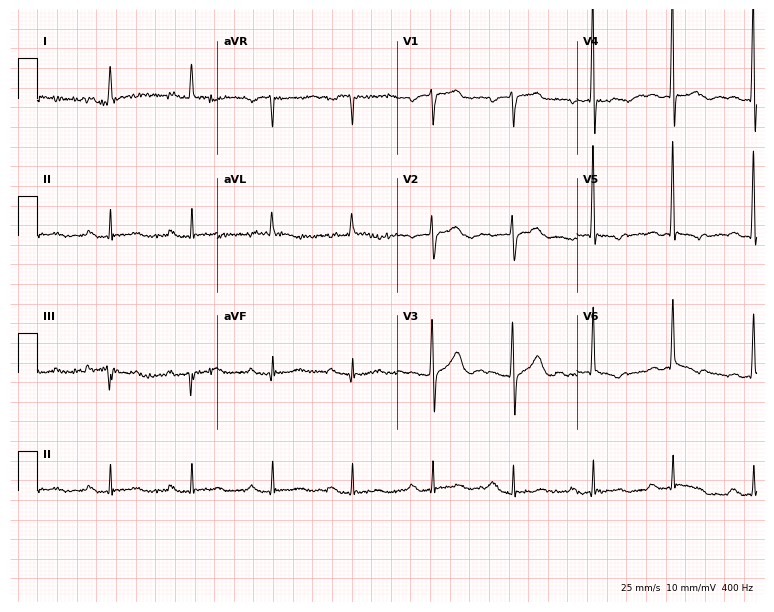
12-lead ECG from a male, 80 years old. Shows first-degree AV block.